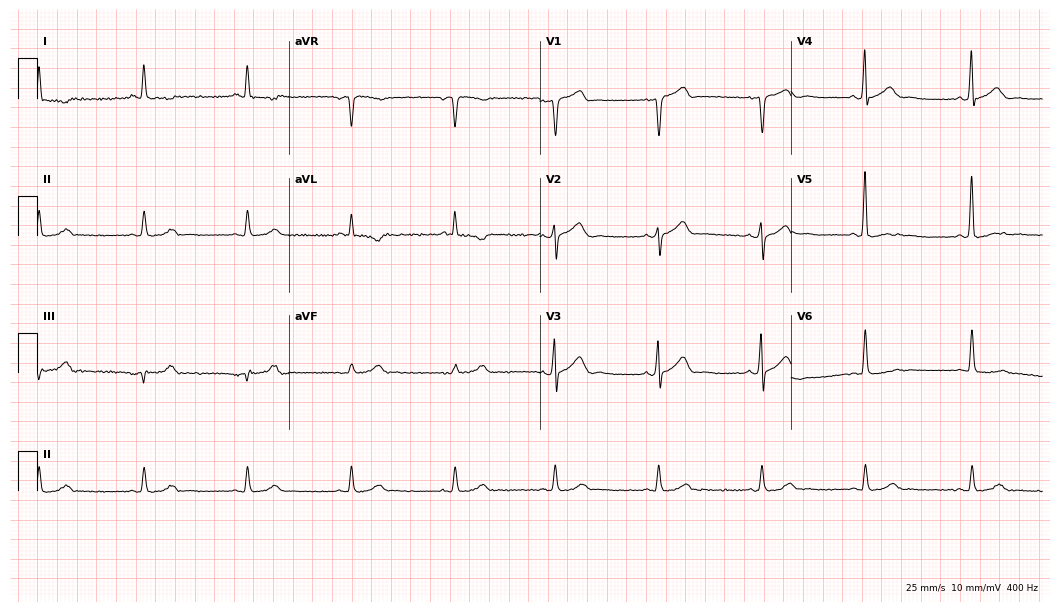
Standard 12-lead ECG recorded from a 71-year-old male. None of these six findings is recorded: first-degree AV block, right bundle branch block, left bundle branch block, sinus bradycardia, atrial fibrillation, sinus tachycardia. Only these six findings were labelled.